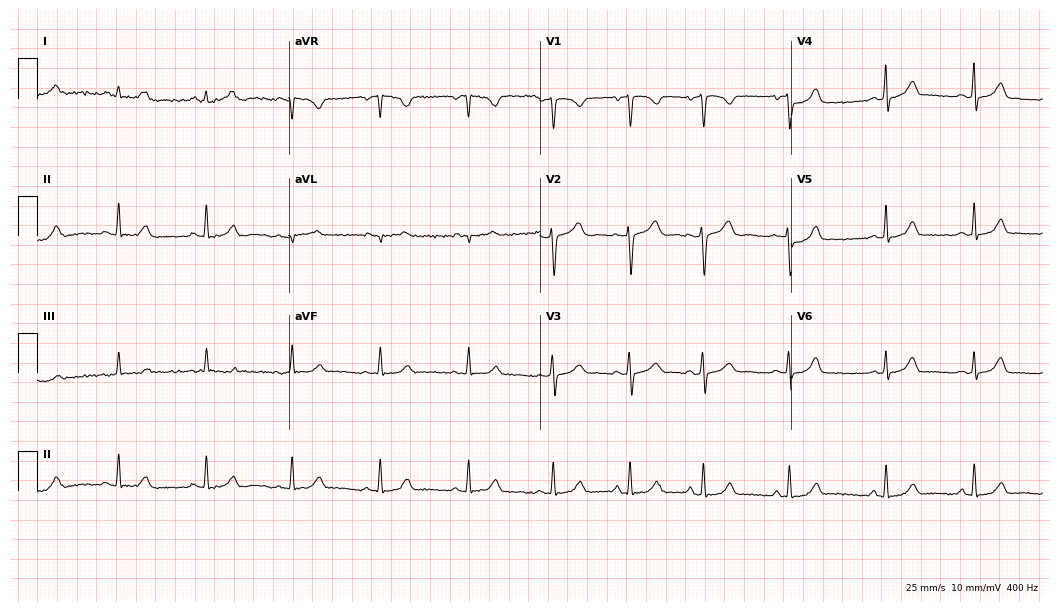
Resting 12-lead electrocardiogram. Patient: a 20-year-old woman. None of these six findings is recorded: first-degree AV block, right bundle branch block, left bundle branch block, sinus bradycardia, atrial fibrillation, sinus tachycardia.